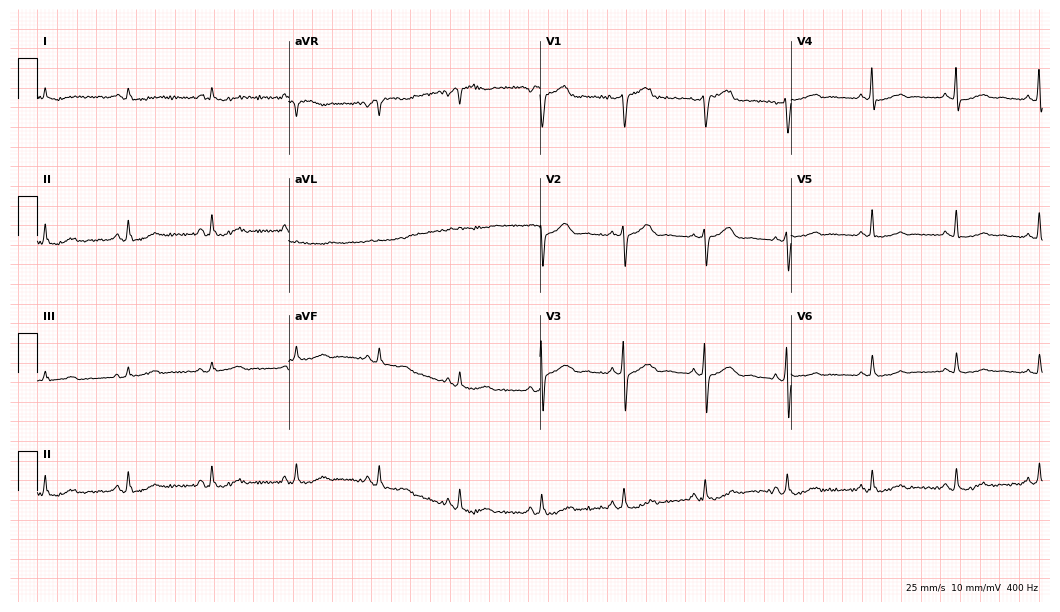
ECG (10.2-second recording at 400 Hz) — a 65-year-old male. Screened for six findings — first-degree AV block, right bundle branch block, left bundle branch block, sinus bradycardia, atrial fibrillation, sinus tachycardia — none is recorded. Other findings, if any, are not listed.